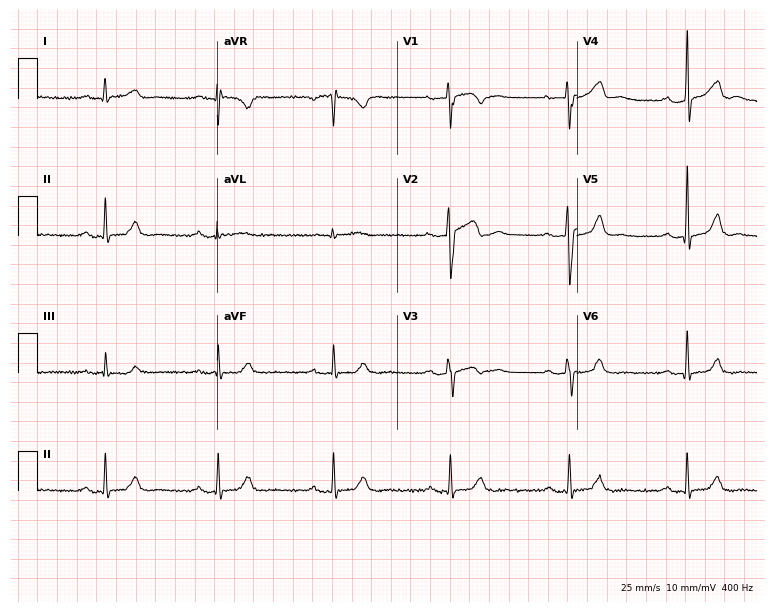
ECG (7.3-second recording at 400 Hz) — a 41-year-old male. Findings include first-degree AV block.